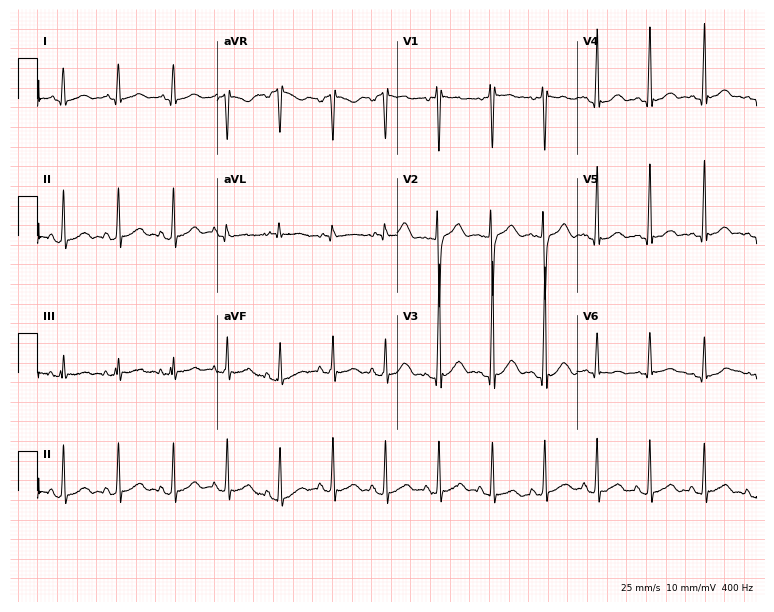
12-lead ECG from a 17-year-old male. No first-degree AV block, right bundle branch block, left bundle branch block, sinus bradycardia, atrial fibrillation or sinus tachycardia recorded for this tracing. Findings outside these six are not listed.